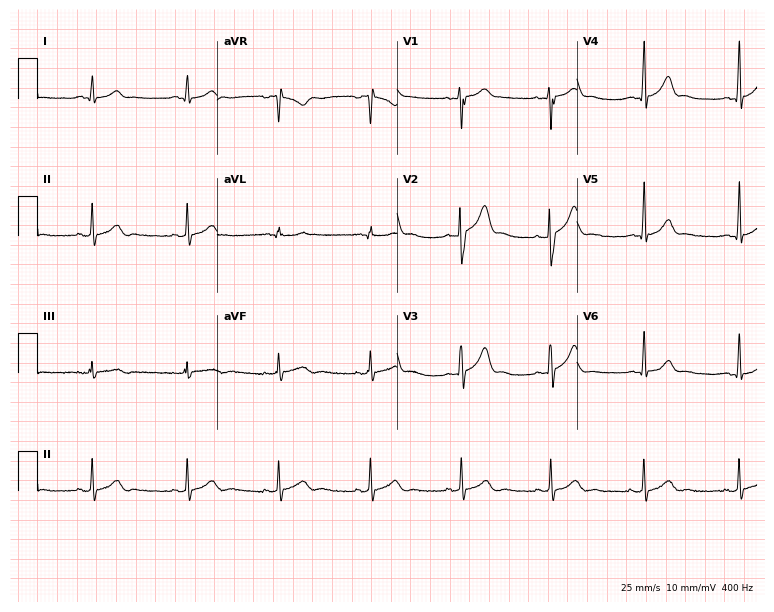
ECG — a 19-year-old man. Screened for six findings — first-degree AV block, right bundle branch block (RBBB), left bundle branch block (LBBB), sinus bradycardia, atrial fibrillation (AF), sinus tachycardia — none is recorded.